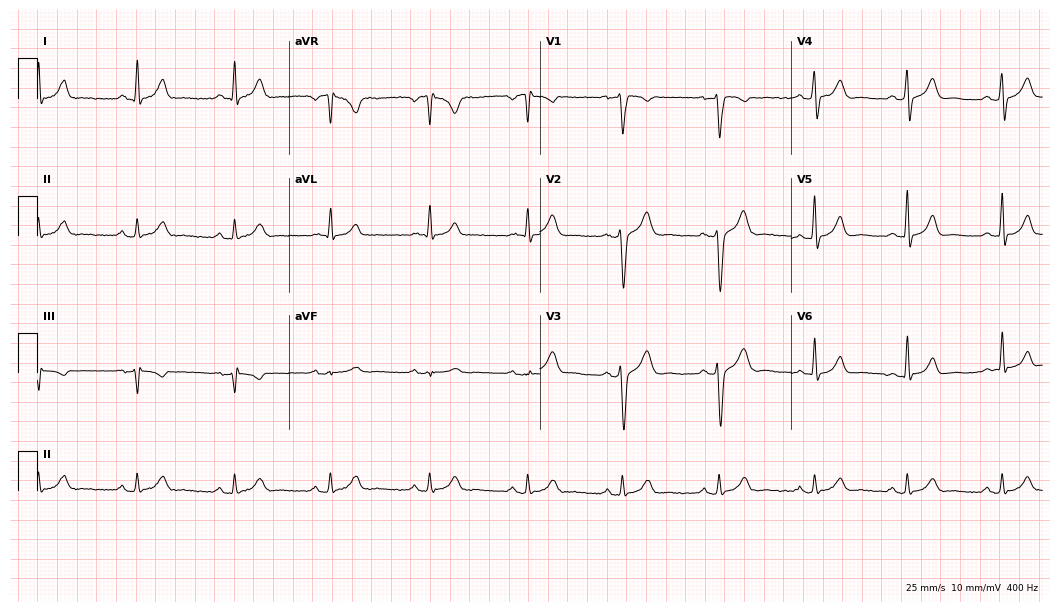
12-lead ECG from a man, 48 years old (10.2-second recording at 400 Hz). Recorded interpretation: within normal limits.